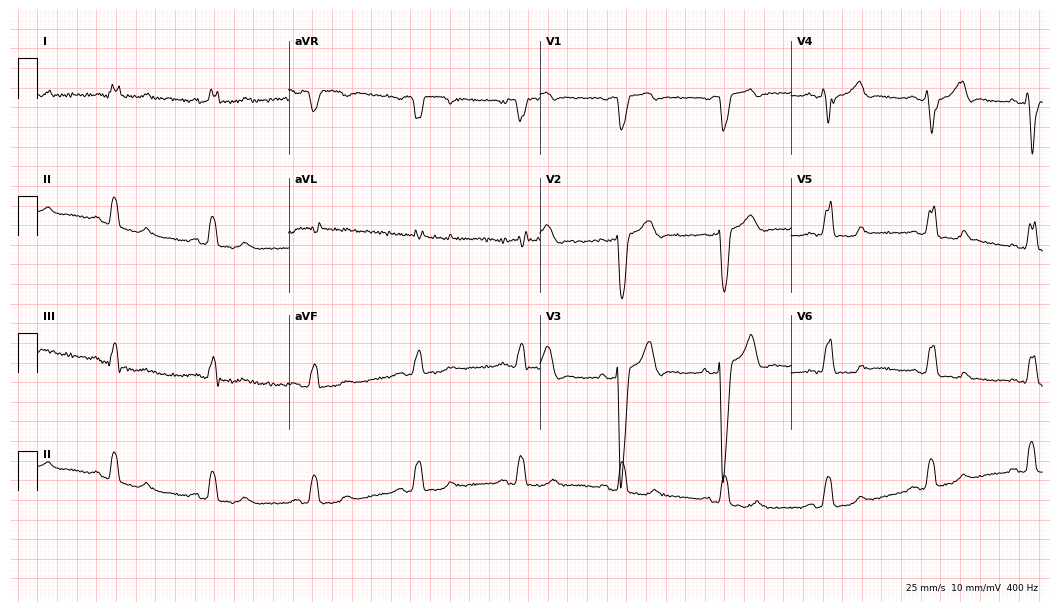
Standard 12-lead ECG recorded from a 71-year-old male (10.2-second recording at 400 Hz). The tracing shows left bundle branch block.